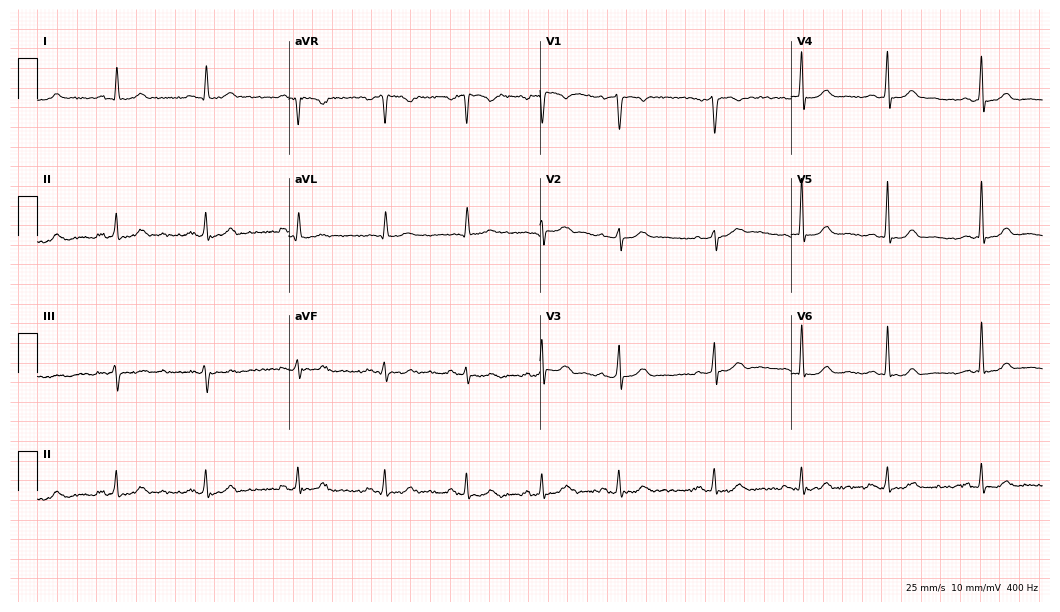
Resting 12-lead electrocardiogram (10.2-second recording at 400 Hz). Patient: a female, 39 years old. None of these six findings is recorded: first-degree AV block, right bundle branch block, left bundle branch block, sinus bradycardia, atrial fibrillation, sinus tachycardia. Other findings, if any, are not listed.